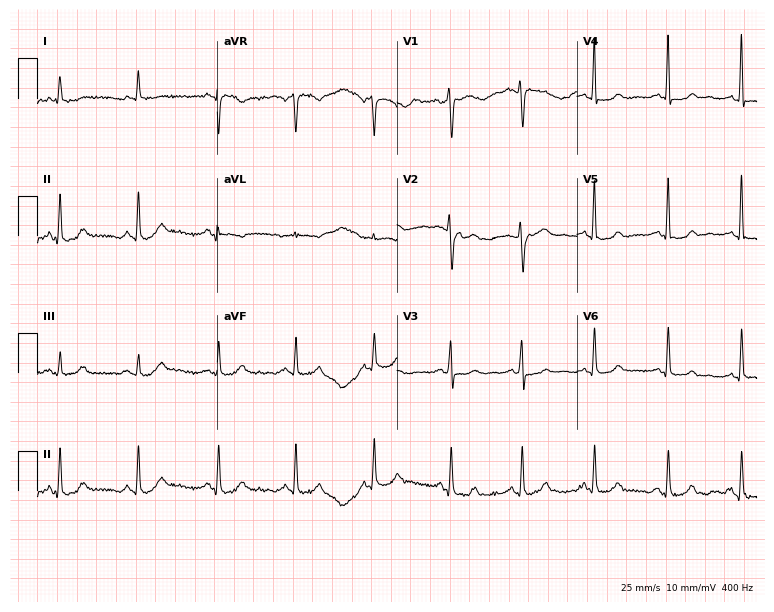
Standard 12-lead ECG recorded from a female, 57 years old (7.3-second recording at 400 Hz). None of these six findings is recorded: first-degree AV block, right bundle branch block (RBBB), left bundle branch block (LBBB), sinus bradycardia, atrial fibrillation (AF), sinus tachycardia.